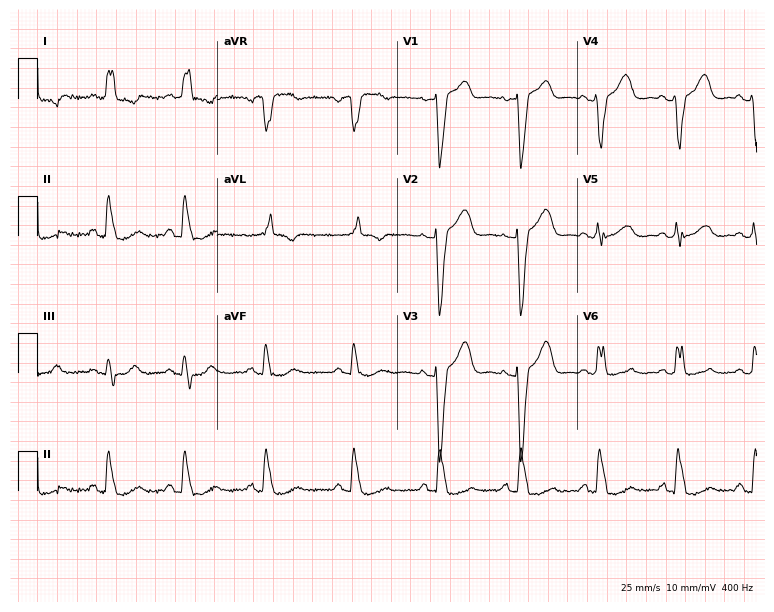
ECG (7.3-second recording at 400 Hz) — a 55-year-old female patient. Findings include left bundle branch block (LBBB).